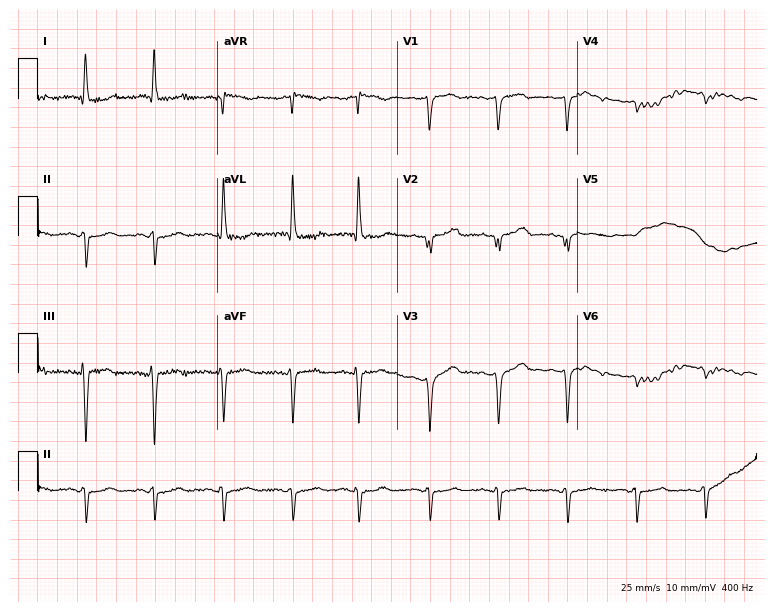
Resting 12-lead electrocardiogram (7.3-second recording at 400 Hz). Patient: an 80-year-old woman. None of these six findings is recorded: first-degree AV block, right bundle branch block, left bundle branch block, sinus bradycardia, atrial fibrillation, sinus tachycardia.